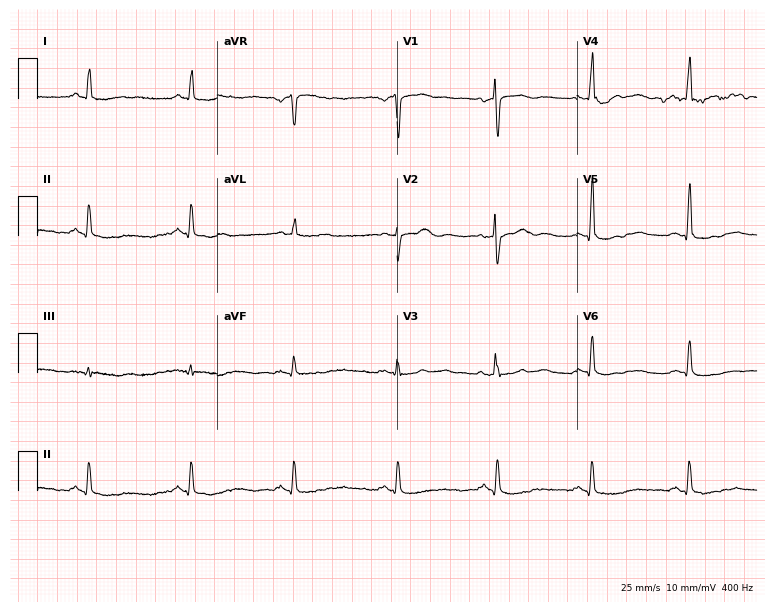
ECG — a 60-year-old female patient. Labelled as a normal ECG.